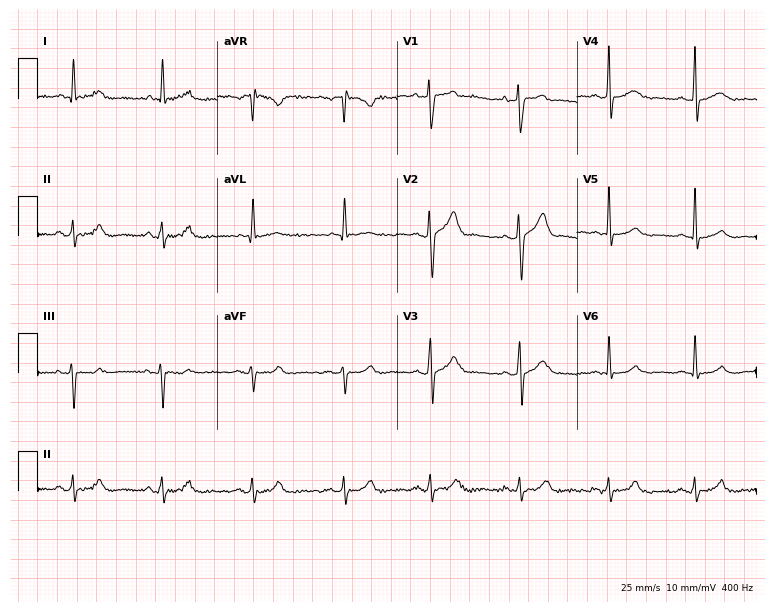
12-lead ECG from a 37-year-old male patient (7.3-second recording at 400 Hz). No first-degree AV block, right bundle branch block (RBBB), left bundle branch block (LBBB), sinus bradycardia, atrial fibrillation (AF) or sinus tachycardia recorded for this tracing.